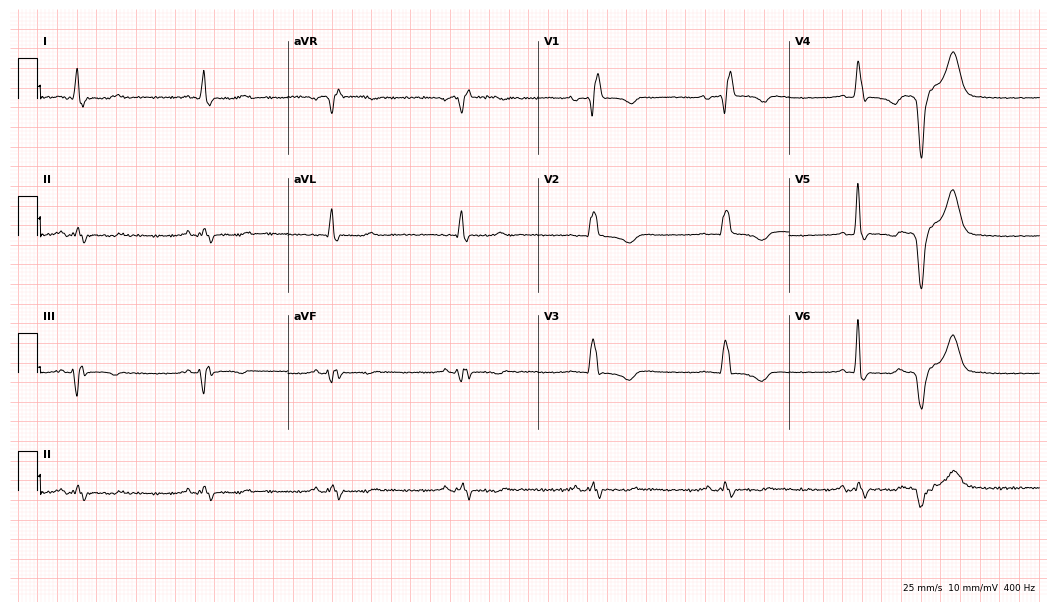
ECG (10.2-second recording at 400 Hz) — a female patient, 54 years old. Findings include right bundle branch block (RBBB), sinus bradycardia (a sinus rate of 50 beats per minute or less).